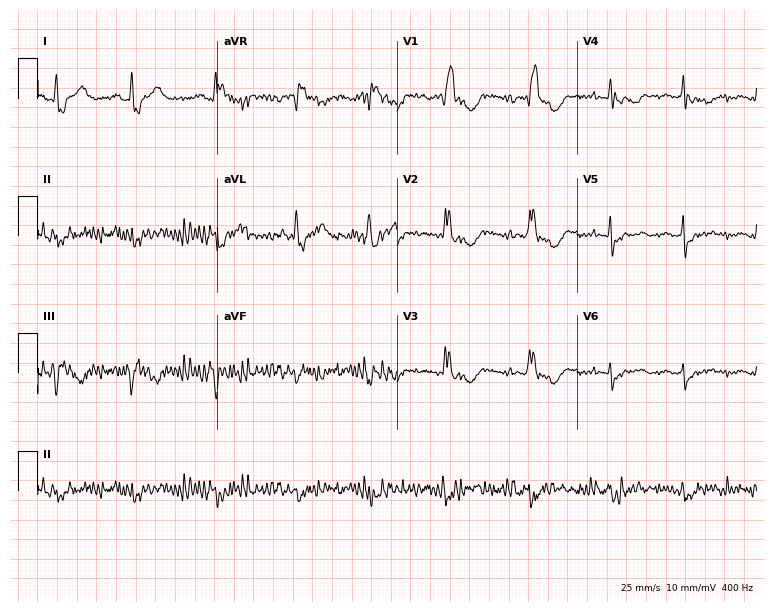
ECG (7.3-second recording at 400 Hz) — a 74-year-old woman. Screened for six findings — first-degree AV block, right bundle branch block (RBBB), left bundle branch block (LBBB), sinus bradycardia, atrial fibrillation (AF), sinus tachycardia — none is recorded. Only these six findings were labelled.